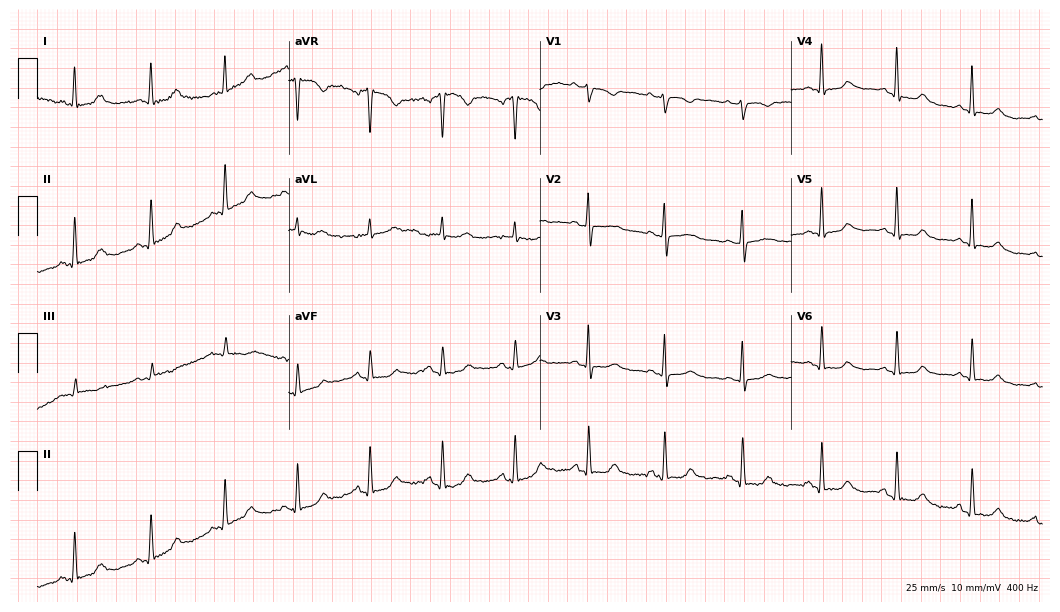
Resting 12-lead electrocardiogram (10.2-second recording at 400 Hz). Patient: a woman, 49 years old. None of these six findings is recorded: first-degree AV block, right bundle branch block, left bundle branch block, sinus bradycardia, atrial fibrillation, sinus tachycardia. Only these six findings were labelled.